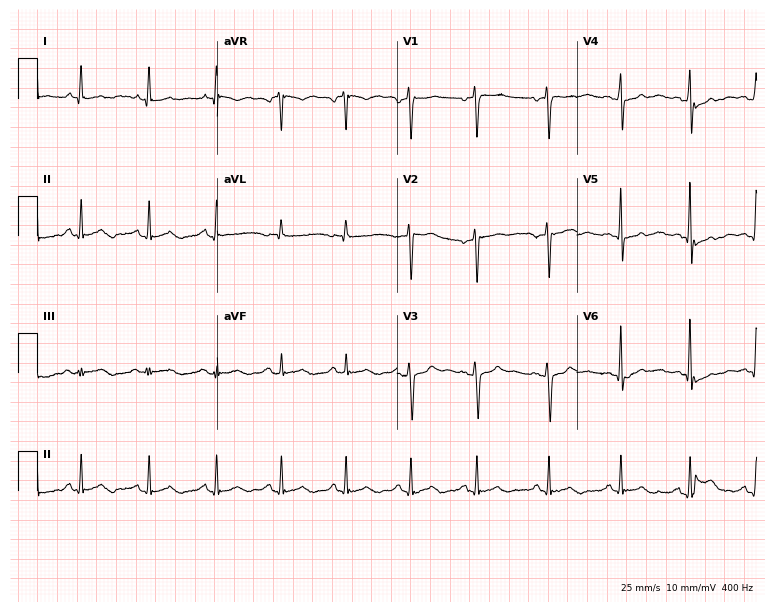
ECG — a woman, 63 years old. Labelled as a normal ECG.